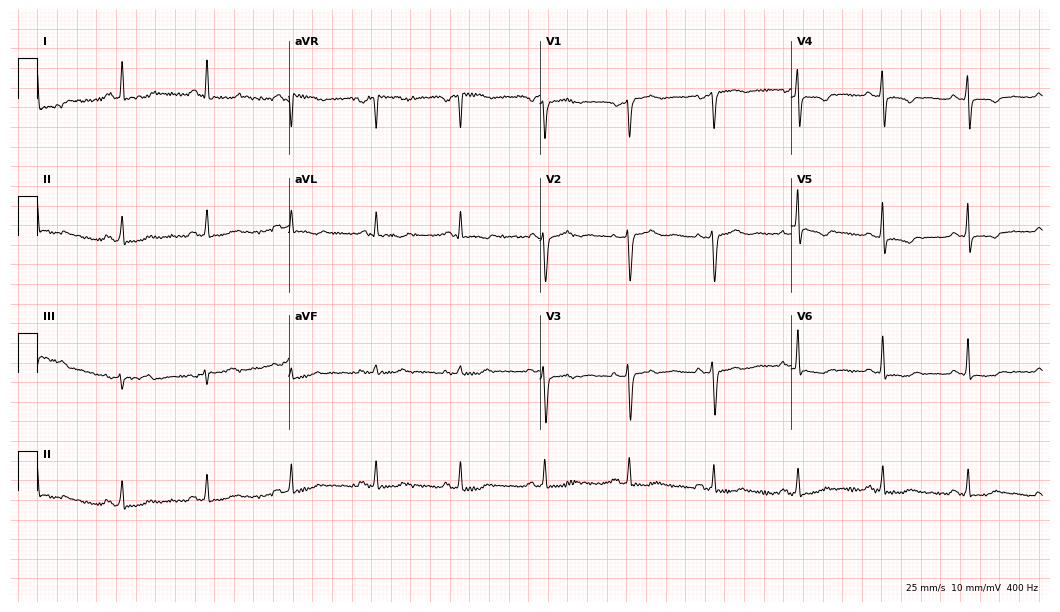
ECG — a 47-year-old woman. Screened for six findings — first-degree AV block, right bundle branch block, left bundle branch block, sinus bradycardia, atrial fibrillation, sinus tachycardia — none is recorded. Only these six findings were labelled.